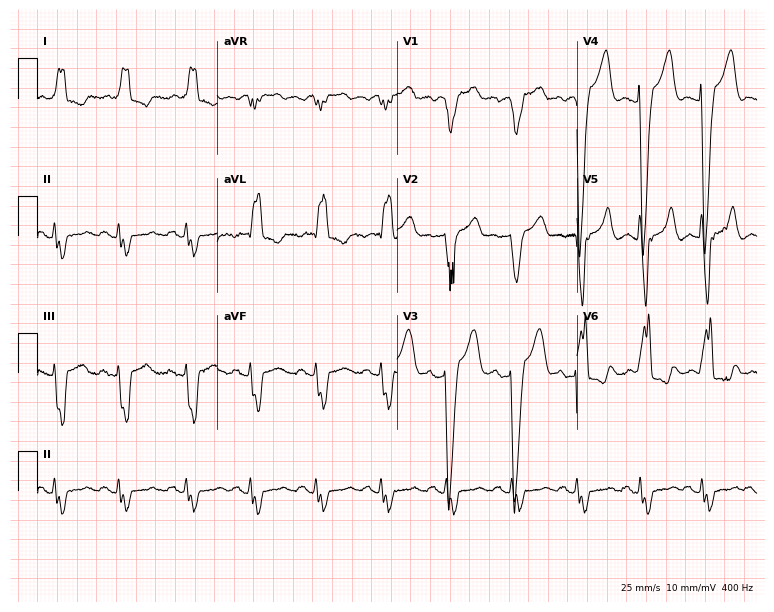
ECG — a female, 84 years old. Findings include left bundle branch block.